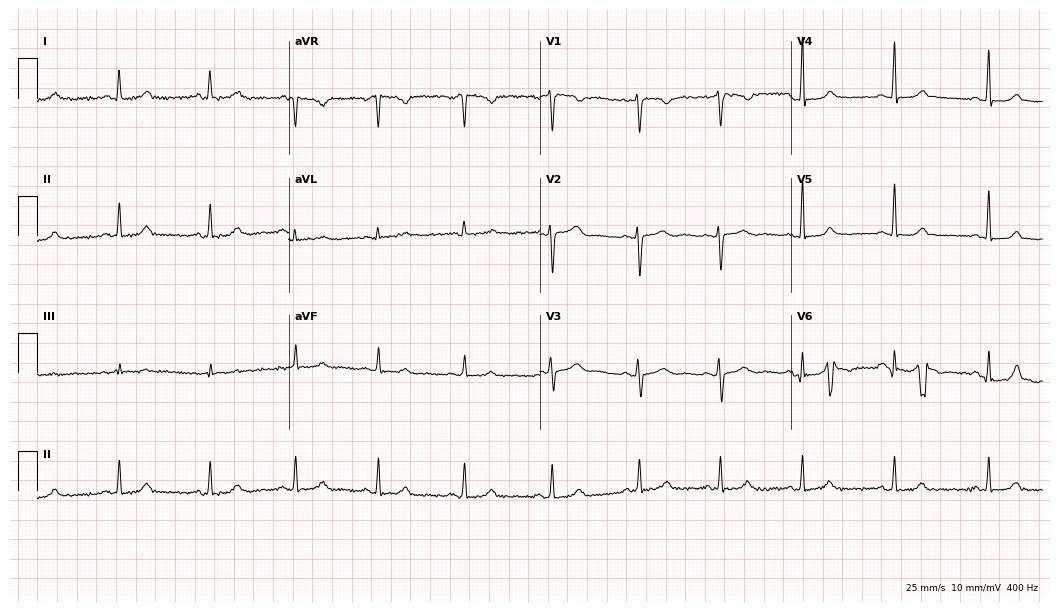
ECG (10.2-second recording at 400 Hz) — a 37-year-old female patient. Labelled as a normal ECG.